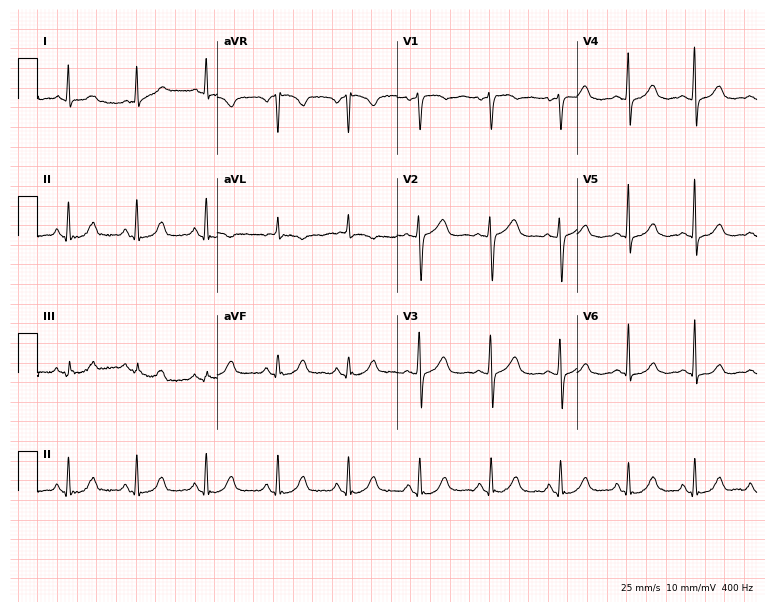
Electrocardiogram, a 69-year-old female patient. Of the six screened findings (first-degree AV block, right bundle branch block, left bundle branch block, sinus bradycardia, atrial fibrillation, sinus tachycardia), none is recorded.